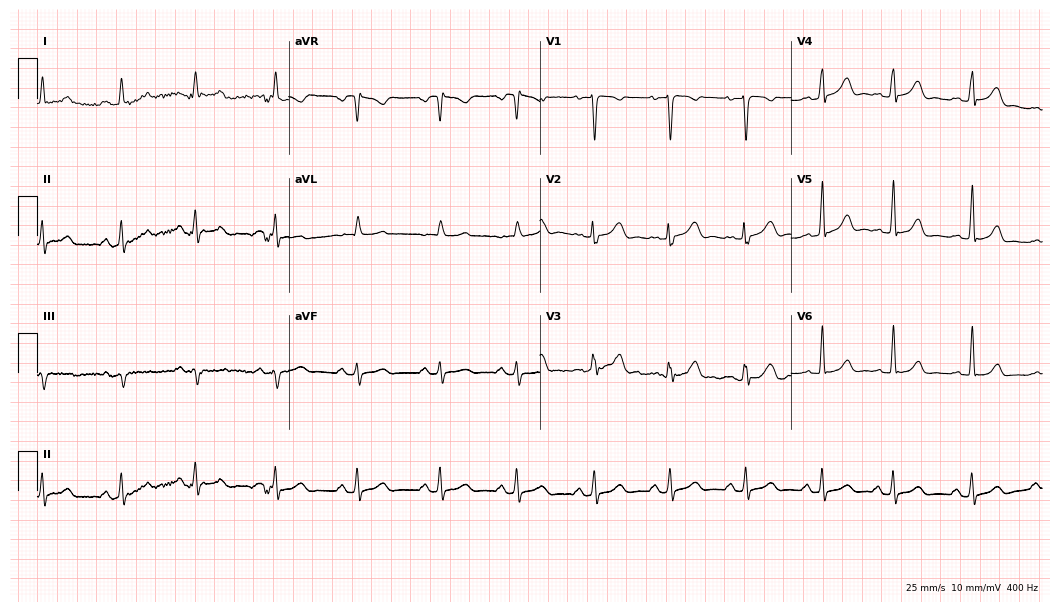
Standard 12-lead ECG recorded from a female patient, 28 years old. Read as a normal ECG.